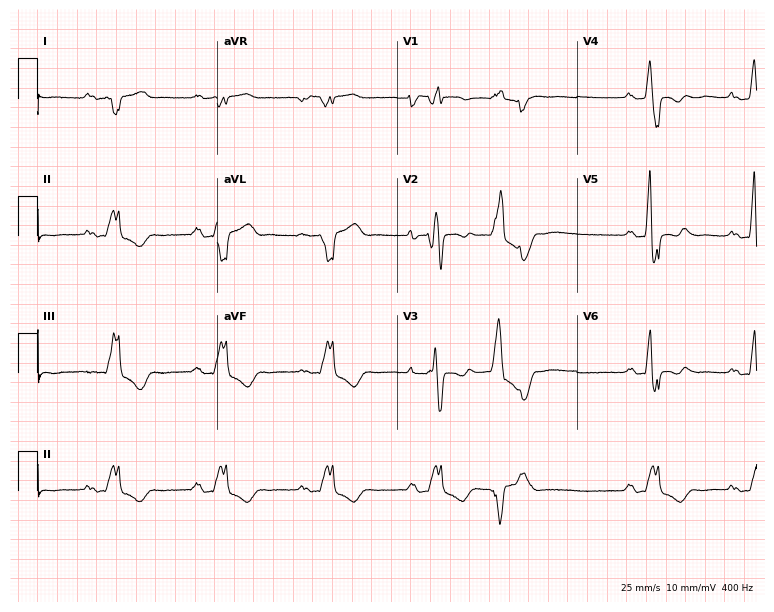
12-lead ECG from a 53-year-old male. Findings include first-degree AV block, right bundle branch block.